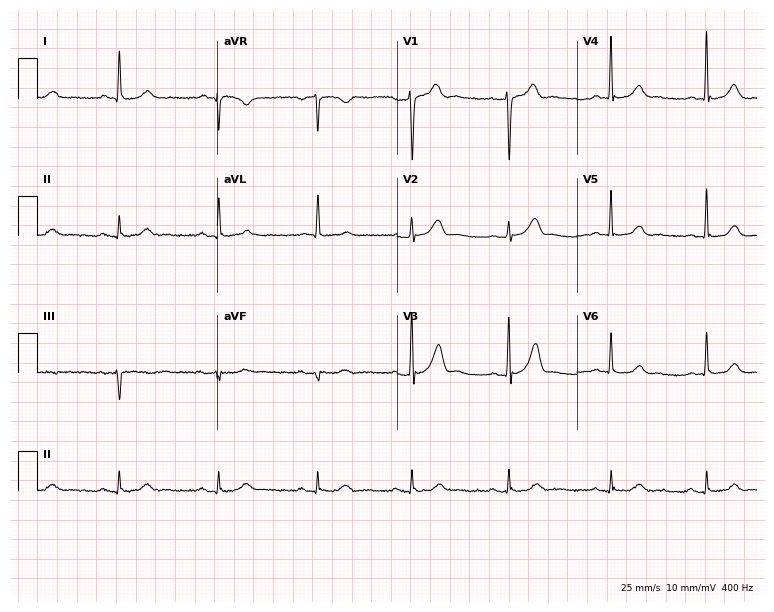
Standard 12-lead ECG recorded from a male patient, 74 years old (7.3-second recording at 400 Hz). None of these six findings is recorded: first-degree AV block, right bundle branch block (RBBB), left bundle branch block (LBBB), sinus bradycardia, atrial fibrillation (AF), sinus tachycardia.